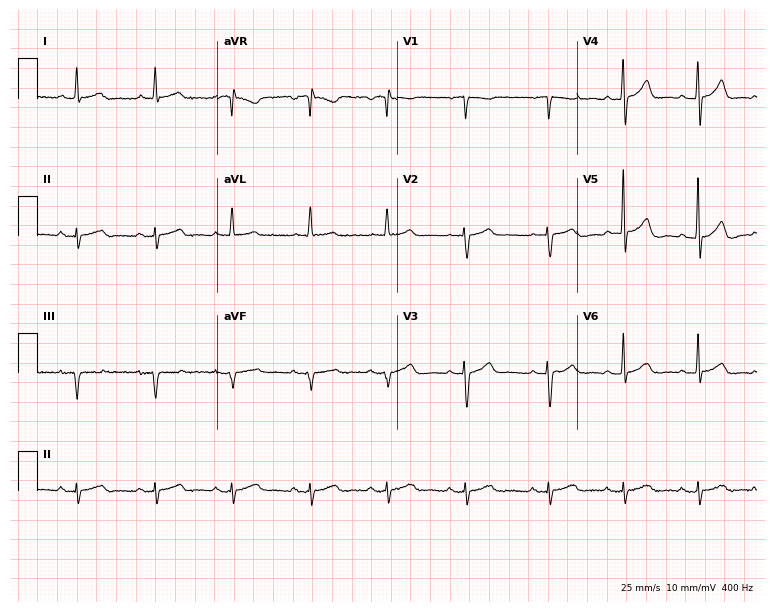
Electrocardiogram, a female patient, 81 years old. Of the six screened findings (first-degree AV block, right bundle branch block, left bundle branch block, sinus bradycardia, atrial fibrillation, sinus tachycardia), none is recorded. Findings outside these six are not listed.